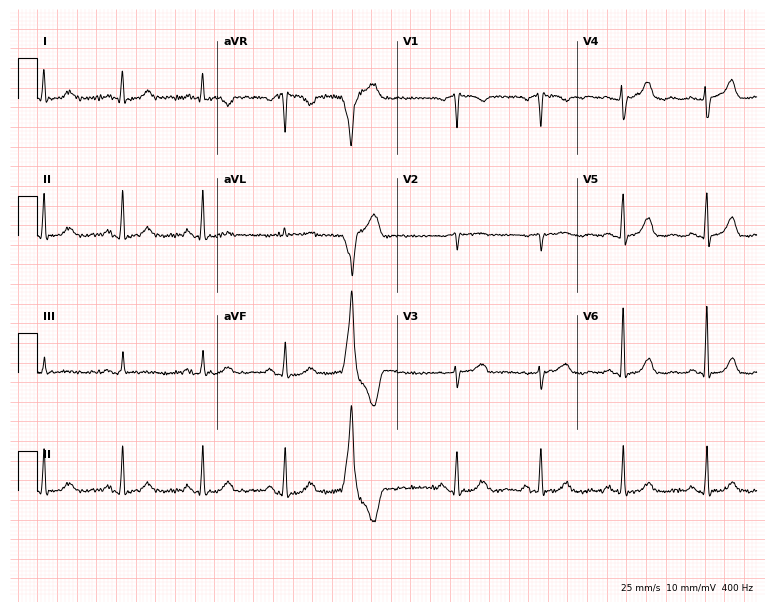
12-lead ECG from a 67-year-old woman (7.3-second recording at 400 Hz). No first-degree AV block, right bundle branch block, left bundle branch block, sinus bradycardia, atrial fibrillation or sinus tachycardia recorded for this tracing.